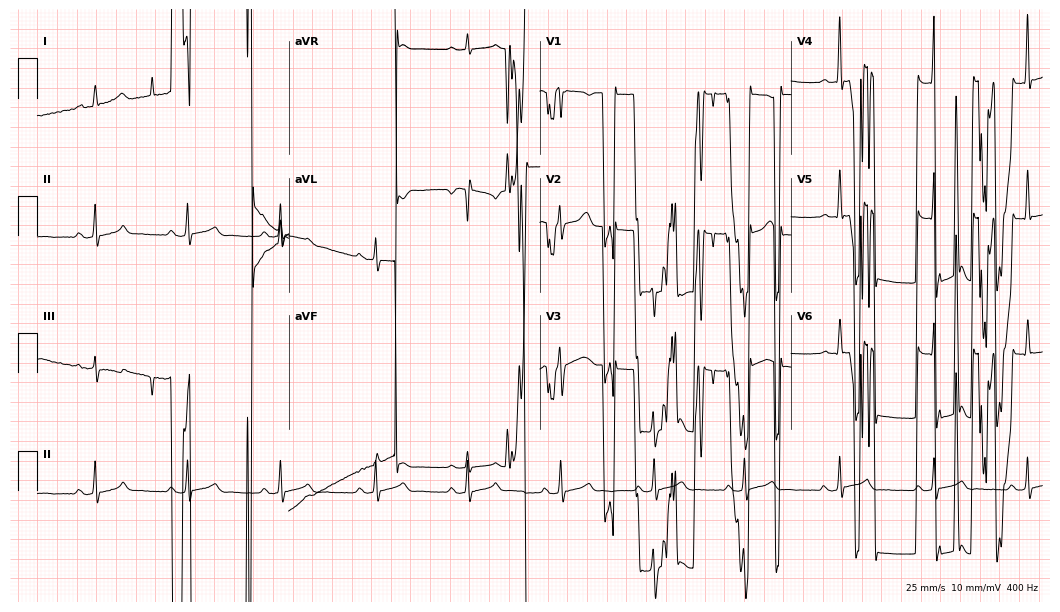
Standard 12-lead ECG recorded from a male, 22 years old (10.2-second recording at 400 Hz). None of these six findings is recorded: first-degree AV block, right bundle branch block, left bundle branch block, sinus bradycardia, atrial fibrillation, sinus tachycardia.